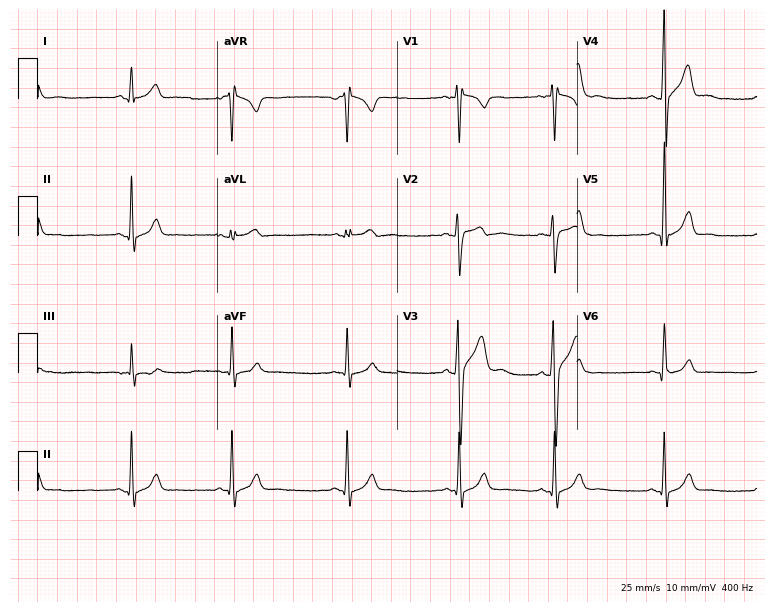
Standard 12-lead ECG recorded from a 20-year-old male. Read as a normal ECG.